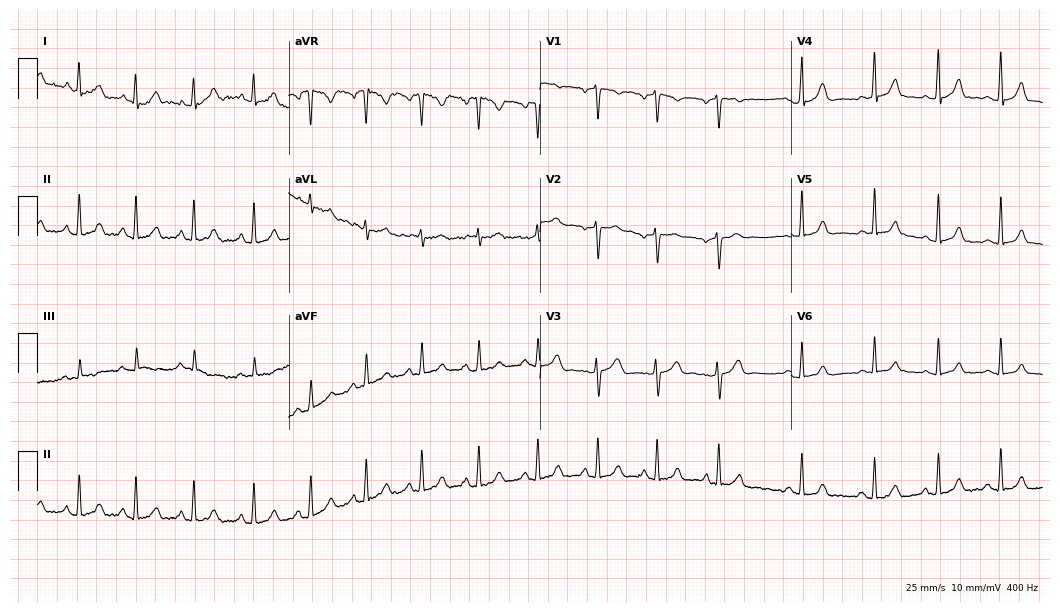
ECG (10.2-second recording at 400 Hz) — a woman, 20 years old. Labelled as a normal ECG.